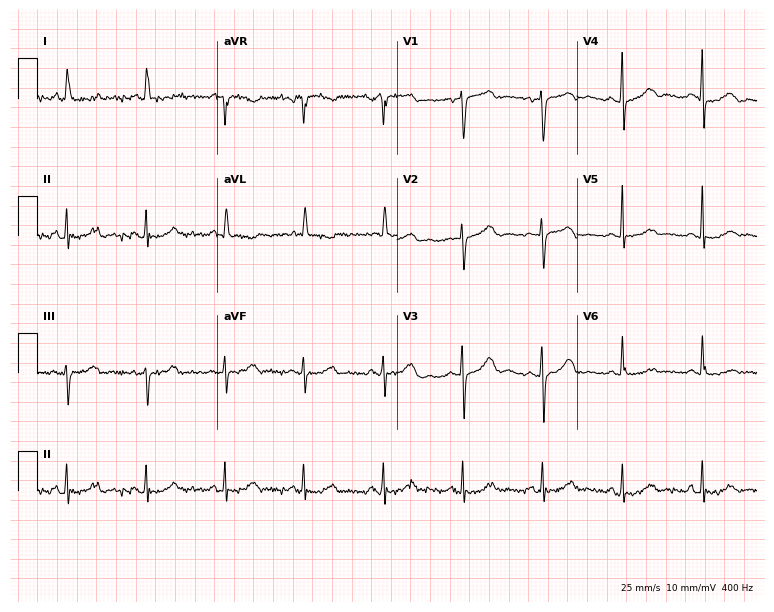
Standard 12-lead ECG recorded from a 79-year-old woman (7.3-second recording at 400 Hz). None of these six findings is recorded: first-degree AV block, right bundle branch block, left bundle branch block, sinus bradycardia, atrial fibrillation, sinus tachycardia.